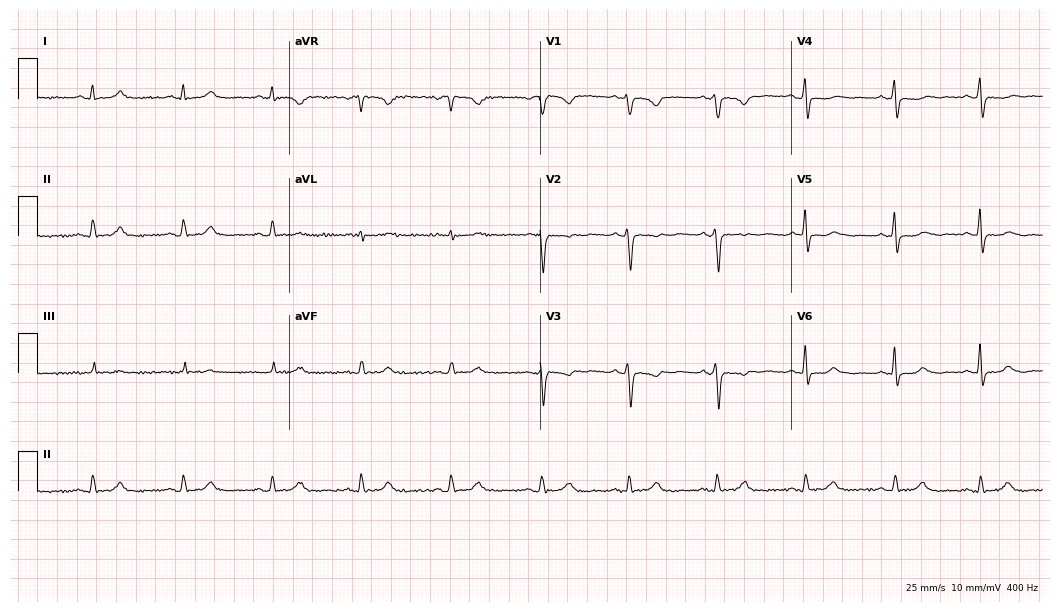
12-lead ECG (10.2-second recording at 400 Hz) from a 47-year-old woman. Screened for six findings — first-degree AV block, right bundle branch block (RBBB), left bundle branch block (LBBB), sinus bradycardia, atrial fibrillation (AF), sinus tachycardia — none is recorded.